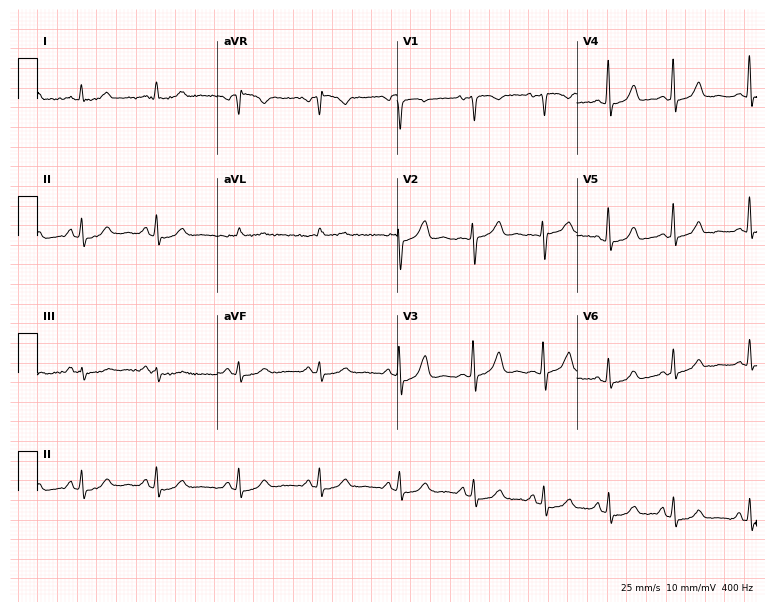
12-lead ECG from a 33-year-old woman. No first-degree AV block, right bundle branch block, left bundle branch block, sinus bradycardia, atrial fibrillation or sinus tachycardia recorded for this tracing. Other findings, if any, are not listed.